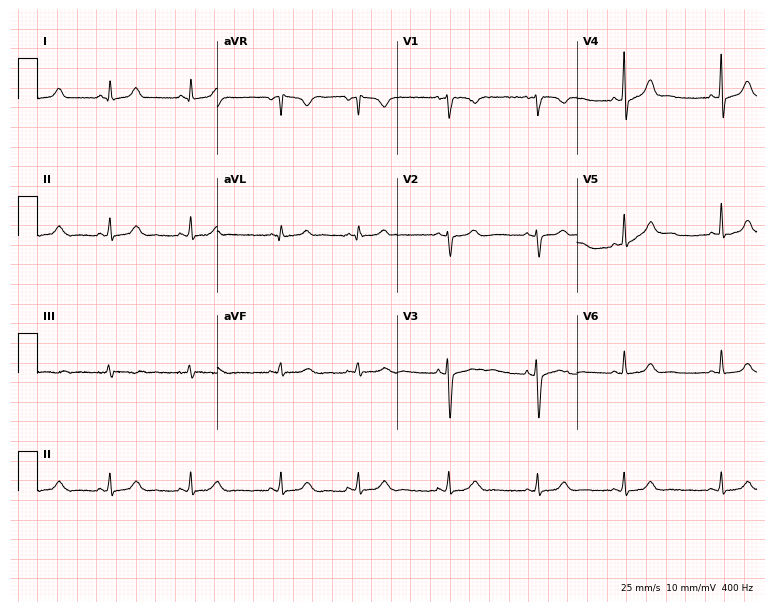
Standard 12-lead ECG recorded from a woman, 22 years old (7.3-second recording at 400 Hz). None of these six findings is recorded: first-degree AV block, right bundle branch block, left bundle branch block, sinus bradycardia, atrial fibrillation, sinus tachycardia.